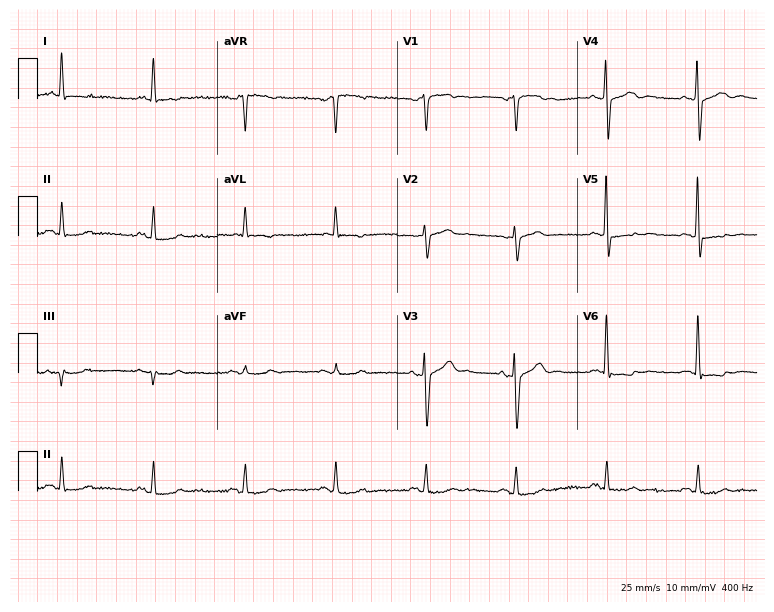
Resting 12-lead electrocardiogram (7.3-second recording at 400 Hz). Patient: an 85-year-old male. None of these six findings is recorded: first-degree AV block, right bundle branch block, left bundle branch block, sinus bradycardia, atrial fibrillation, sinus tachycardia. Findings outside these six are not listed.